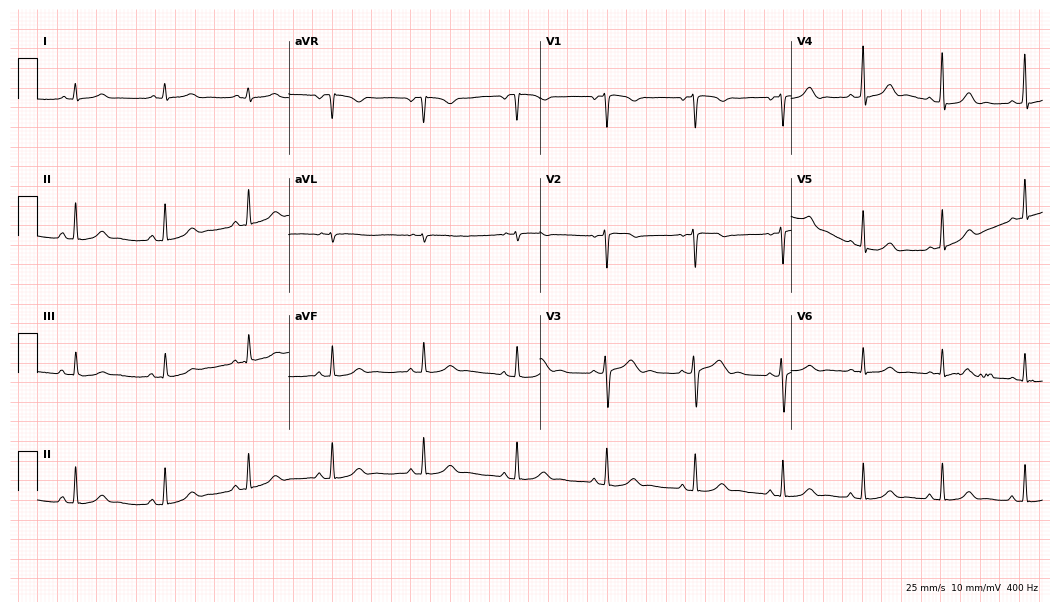
Standard 12-lead ECG recorded from a female, 36 years old (10.2-second recording at 400 Hz). Read as a normal ECG.